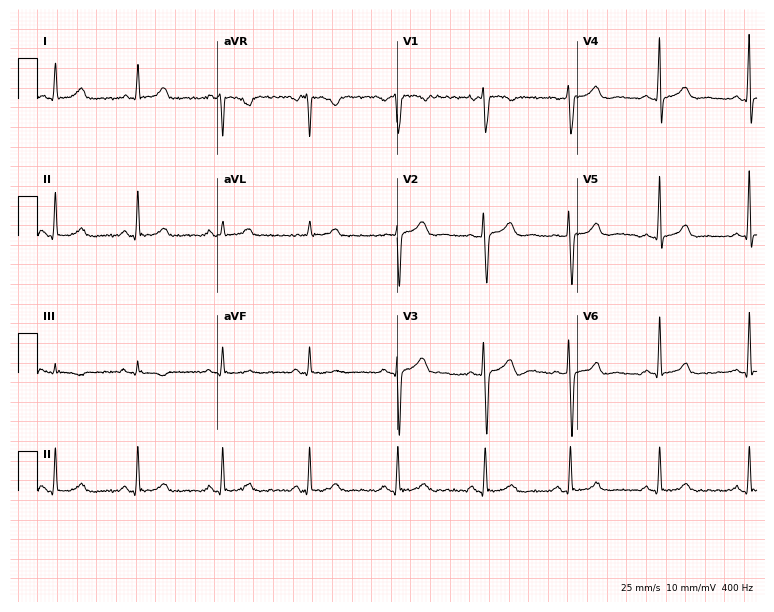
Resting 12-lead electrocardiogram. Patient: a 44-year-old female. Read as a normal ECG.